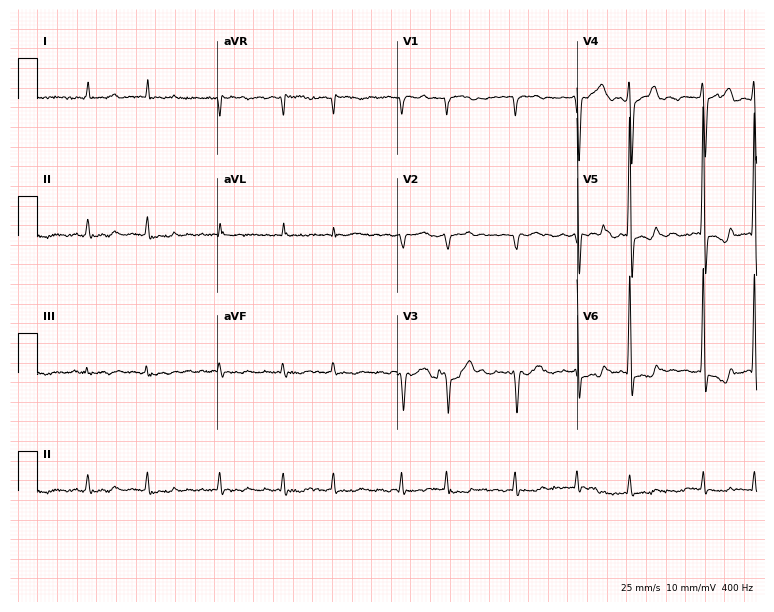
12-lead ECG from a male, 76 years old (7.3-second recording at 400 Hz). Shows atrial fibrillation.